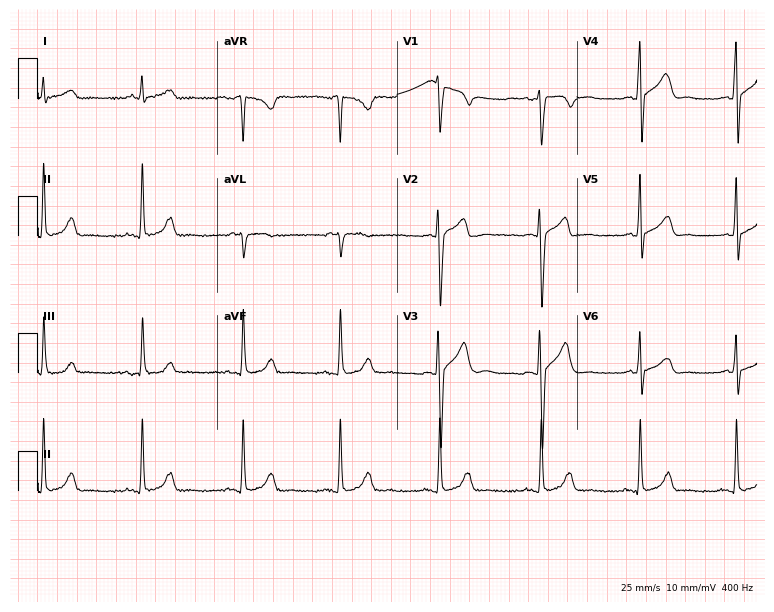
Electrocardiogram (7.3-second recording at 400 Hz), a male, 45 years old. Overall reading on record: normal ECG.